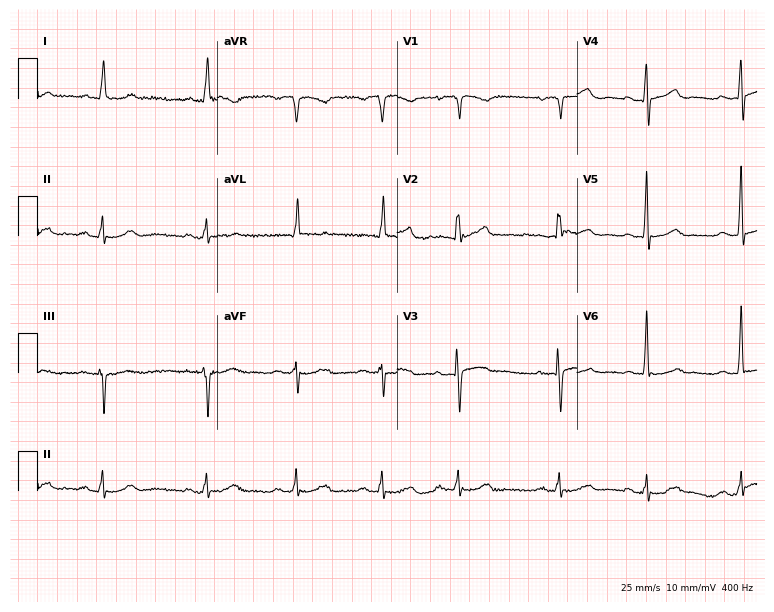
12-lead ECG from a female, 86 years old. Labelled as a normal ECG.